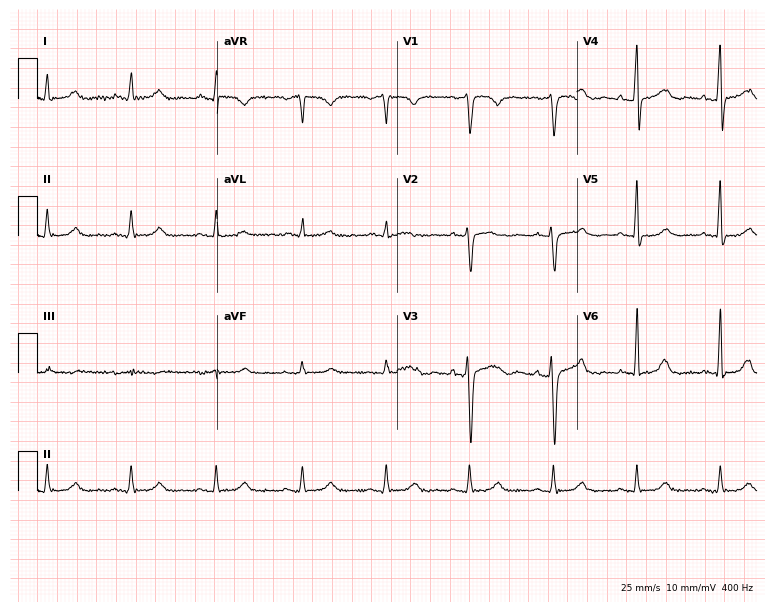
Electrocardiogram, a male patient, 58 years old. Of the six screened findings (first-degree AV block, right bundle branch block, left bundle branch block, sinus bradycardia, atrial fibrillation, sinus tachycardia), none is recorded. Findings outside these six are not listed.